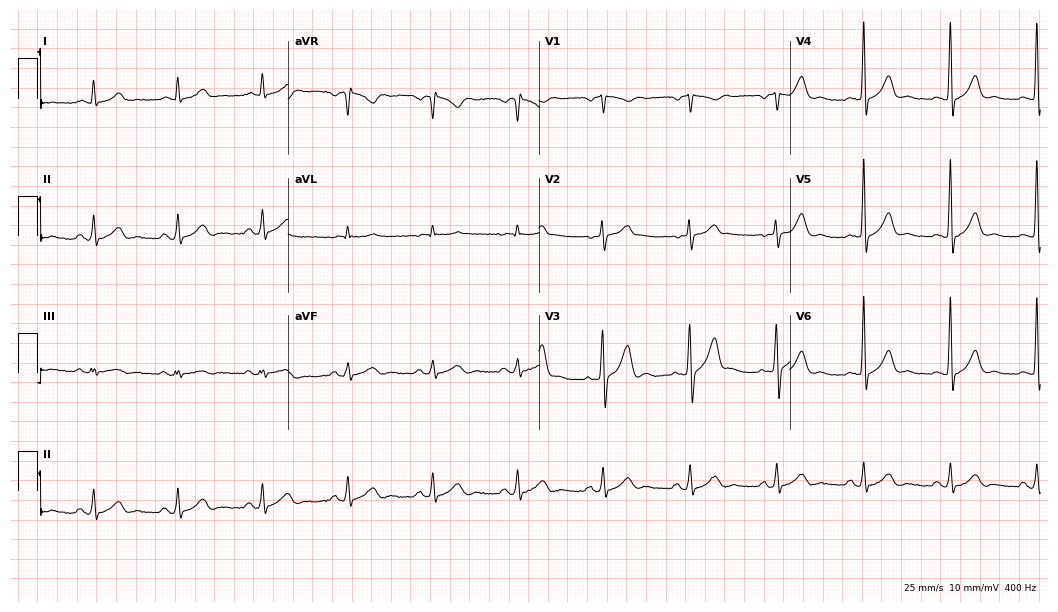
Electrocardiogram, a man, 57 years old. Overall reading on record: normal ECG.